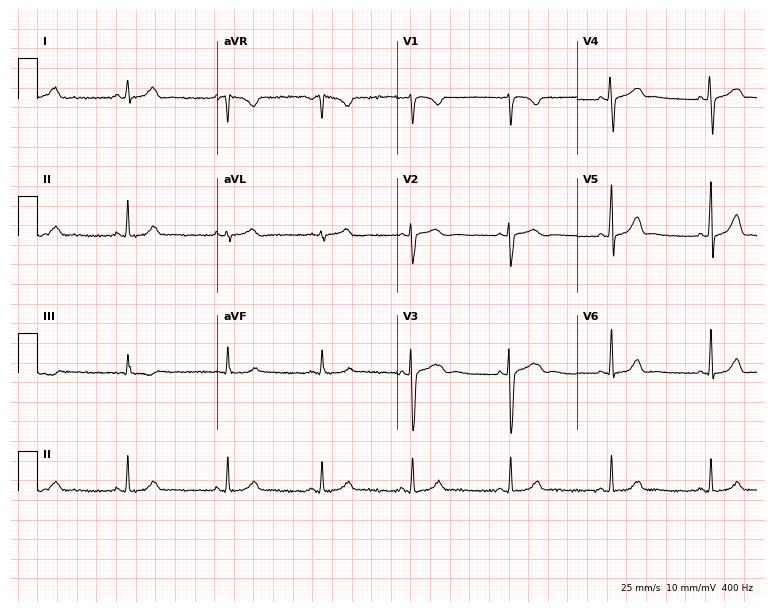
Resting 12-lead electrocardiogram (7.3-second recording at 400 Hz). Patient: a female, 34 years old. Read as a normal ECG.